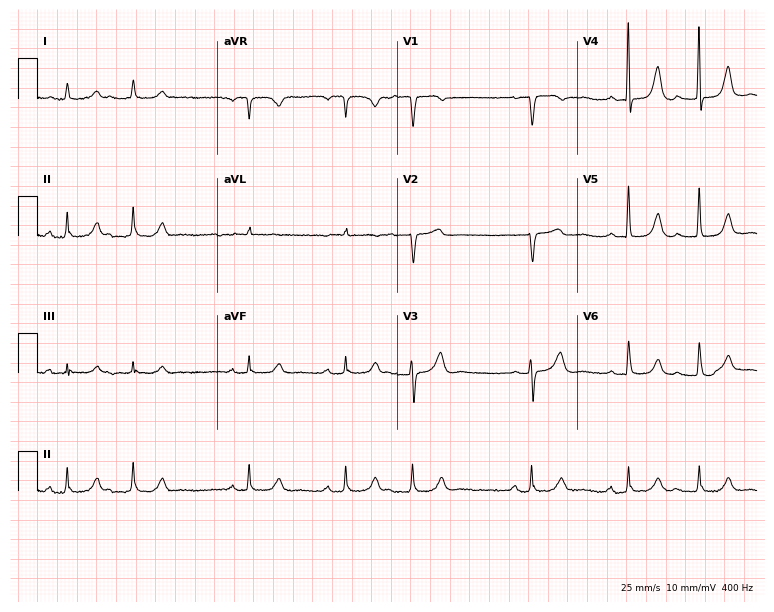
Resting 12-lead electrocardiogram (7.3-second recording at 400 Hz). Patient: a female, 73 years old. None of these six findings is recorded: first-degree AV block, right bundle branch block (RBBB), left bundle branch block (LBBB), sinus bradycardia, atrial fibrillation (AF), sinus tachycardia.